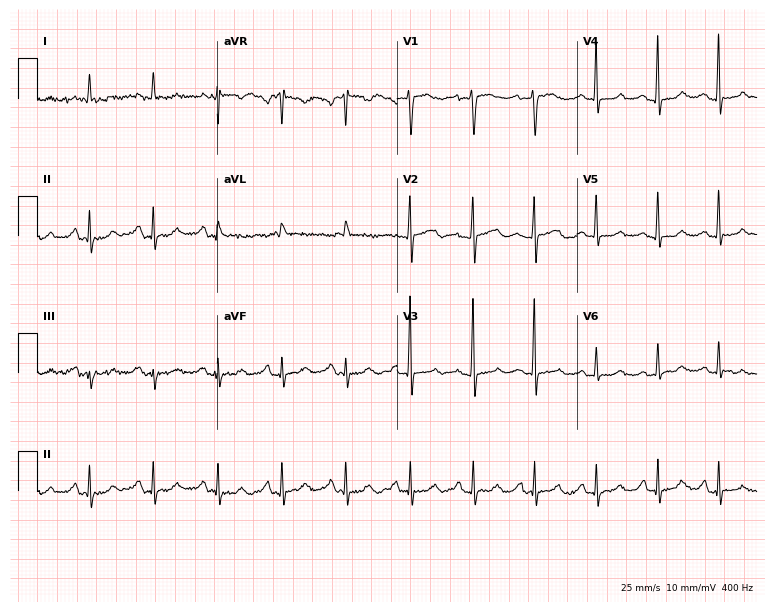
Standard 12-lead ECG recorded from a 46-year-old female patient. Read as a normal ECG.